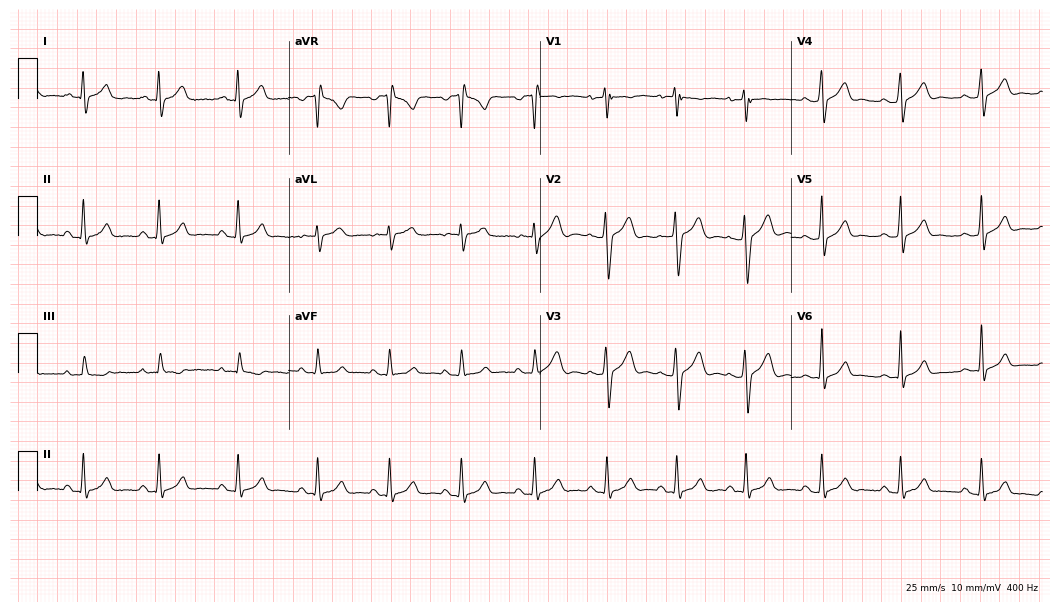
12-lead ECG from a 20-year-old male. Screened for six findings — first-degree AV block, right bundle branch block (RBBB), left bundle branch block (LBBB), sinus bradycardia, atrial fibrillation (AF), sinus tachycardia — none is recorded. Only these six findings were labelled.